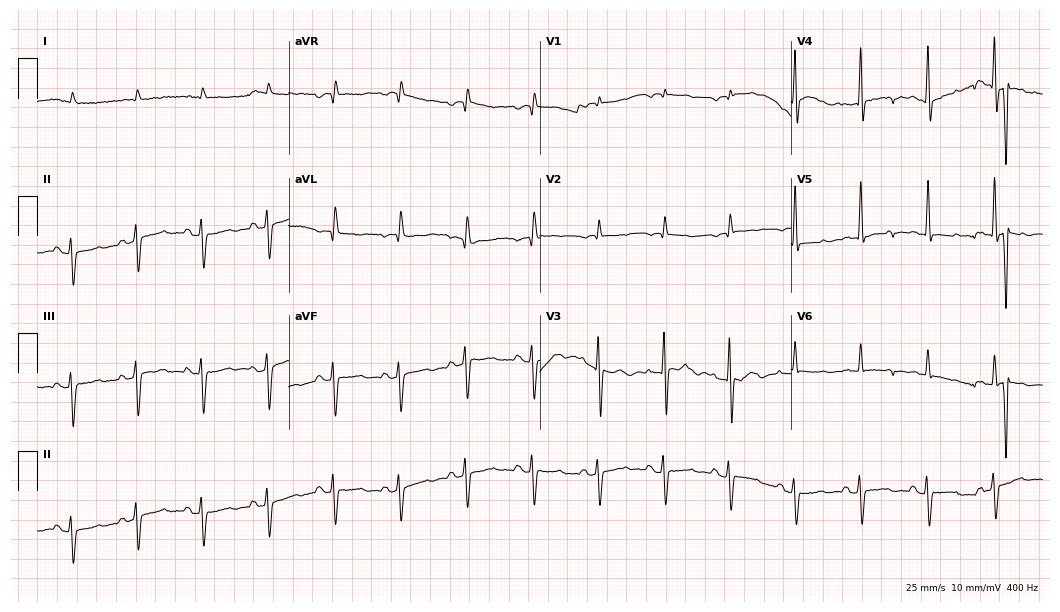
Electrocardiogram (10.2-second recording at 400 Hz), an 84-year-old male patient. Of the six screened findings (first-degree AV block, right bundle branch block, left bundle branch block, sinus bradycardia, atrial fibrillation, sinus tachycardia), none is recorded. Findings outside these six are not listed.